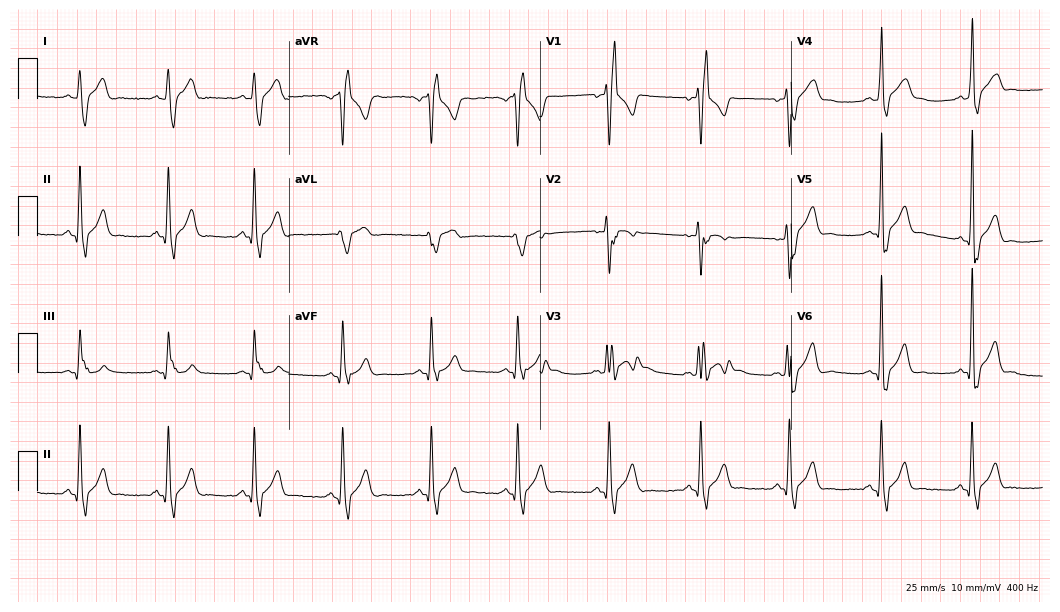
Resting 12-lead electrocardiogram. Patient: a male, 23 years old. The tracing shows right bundle branch block.